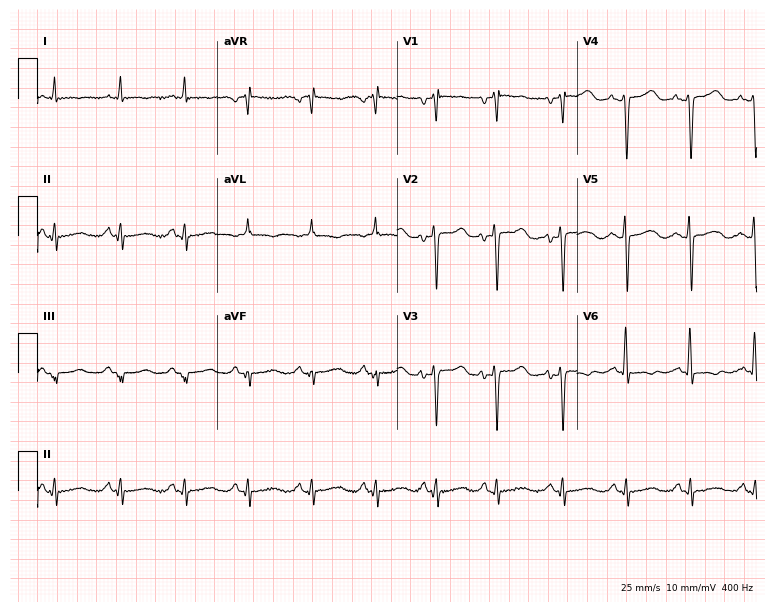
ECG (7.3-second recording at 400 Hz) — an 84-year-old woman. Screened for six findings — first-degree AV block, right bundle branch block, left bundle branch block, sinus bradycardia, atrial fibrillation, sinus tachycardia — none is recorded. Findings outside these six are not listed.